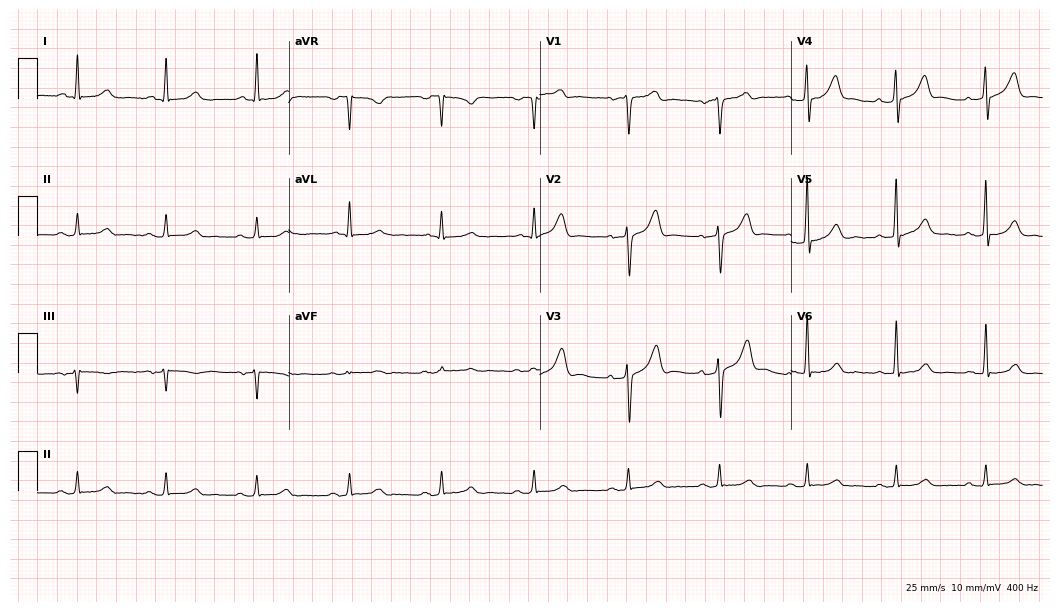
Standard 12-lead ECG recorded from a male, 57 years old (10.2-second recording at 400 Hz). None of these six findings is recorded: first-degree AV block, right bundle branch block (RBBB), left bundle branch block (LBBB), sinus bradycardia, atrial fibrillation (AF), sinus tachycardia. Only these six findings were labelled.